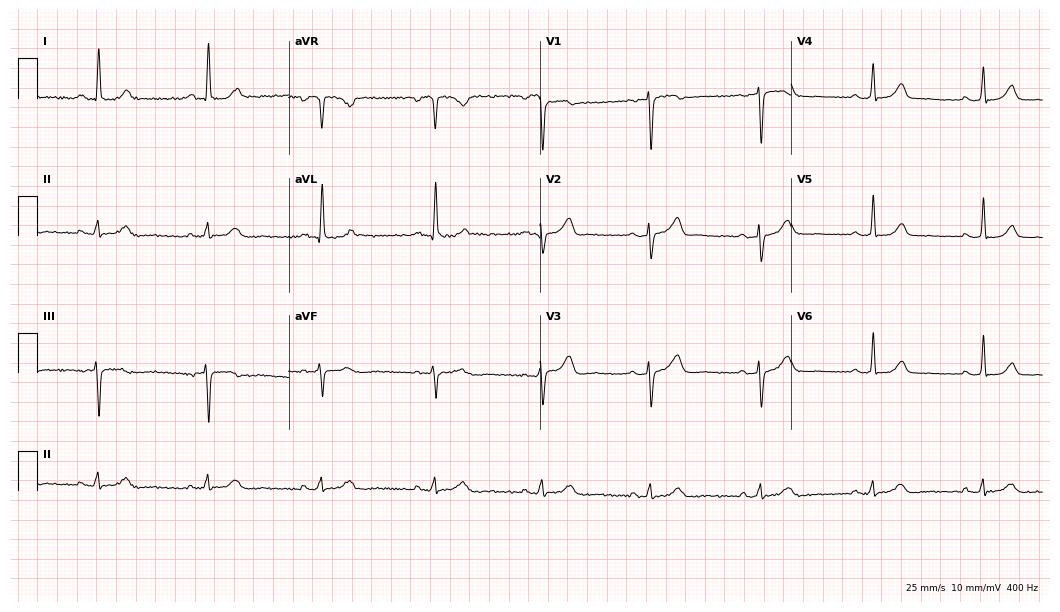
Electrocardiogram (10.2-second recording at 400 Hz), a female patient, 55 years old. Overall reading on record: normal ECG.